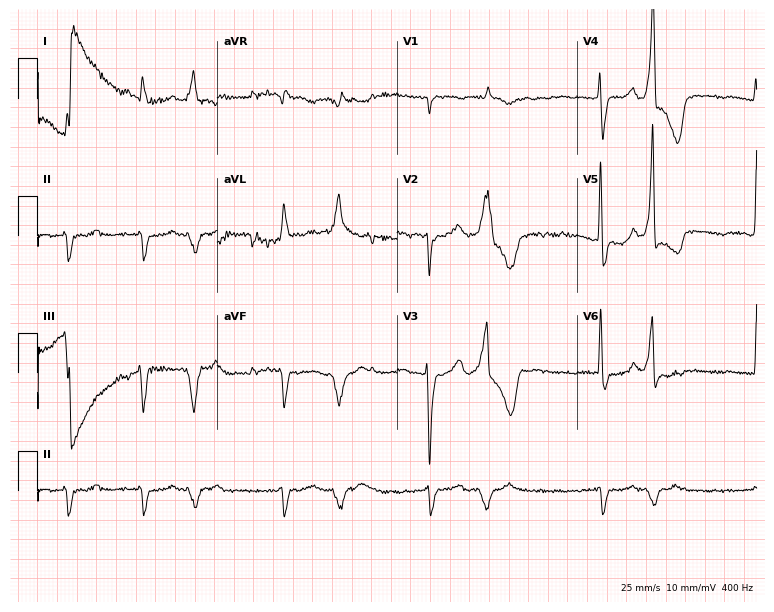
Resting 12-lead electrocardiogram (7.3-second recording at 400 Hz). Patient: an 85-year-old male. The tracing shows atrial fibrillation.